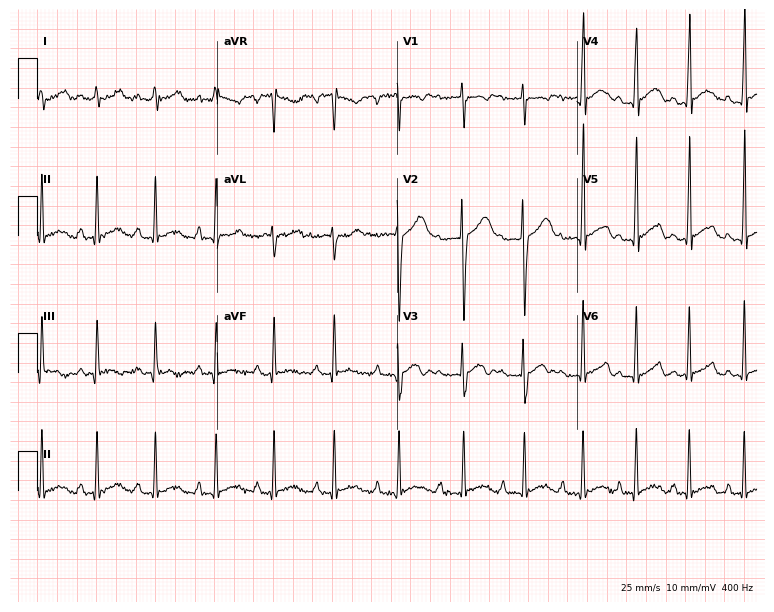
12-lead ECG from a 25-year-old woman (7.3-second recording at 400 Hz). No first-degree AV block, right bundle branch block, left bundle branch block, sinus bradycardia, atrial fibrillation or sinus tachycardia recorded for this tracing.